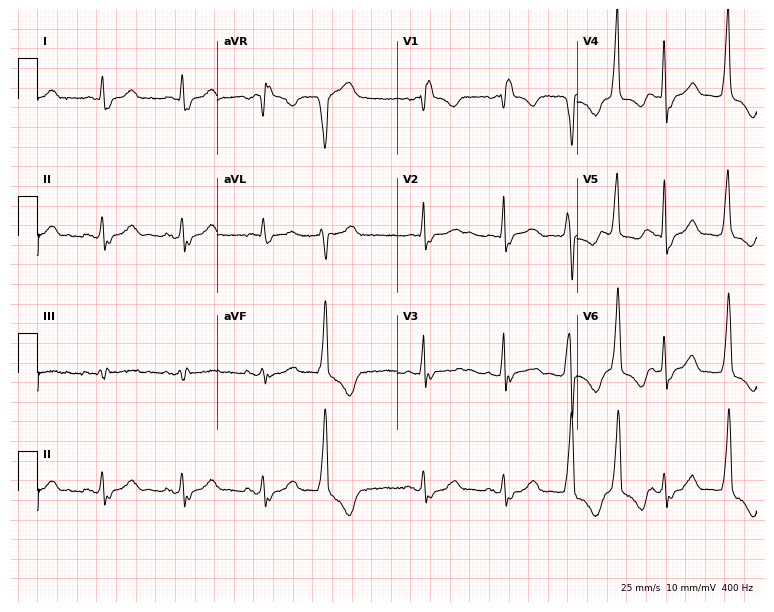
Resting 12-lead electrocardiogram. Patient: a 73-year-old man. The tracing shows right bundle branch block.